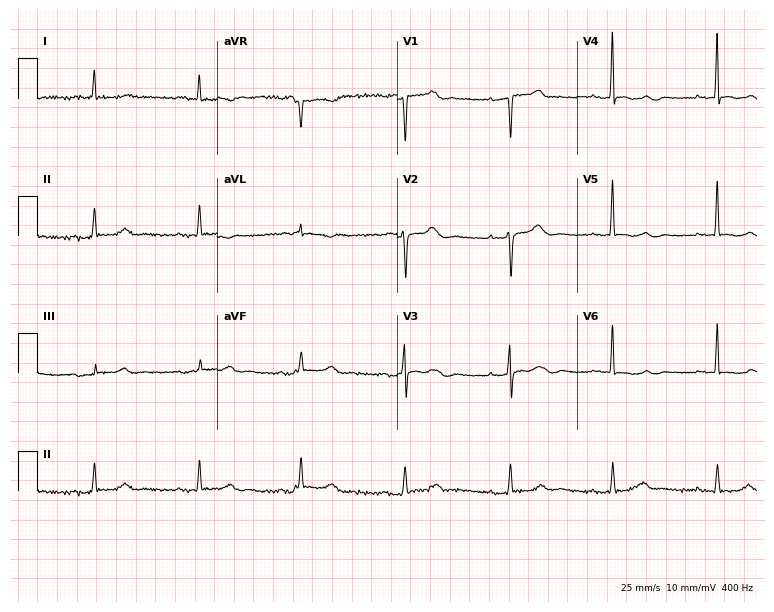
Standard 12-lead ECG recorded from a female patient, 73 years old (7.3-second recording at 400 Hz). None of these six findings is recorded: first-degree AV block, right bundle branch block (RBBB), left bundle branch block (LBBB), sinus bradycardia, atrial fibrillation (AF), sinus tachycardia.